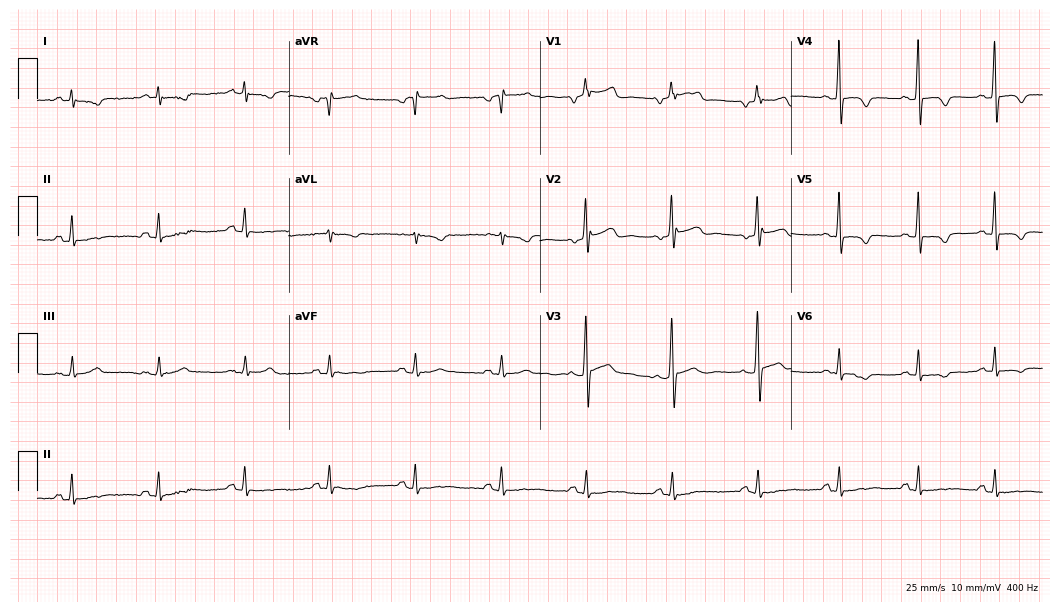
ECG (10.2-second recording at 400 Hz) — a 65-year-old man. Screened for six findings — first-degree AV block, right bundle branch block, left bundle branch block, sinus bradycardia, atrial fibrillation, sinus tachycardia — none is recorded.